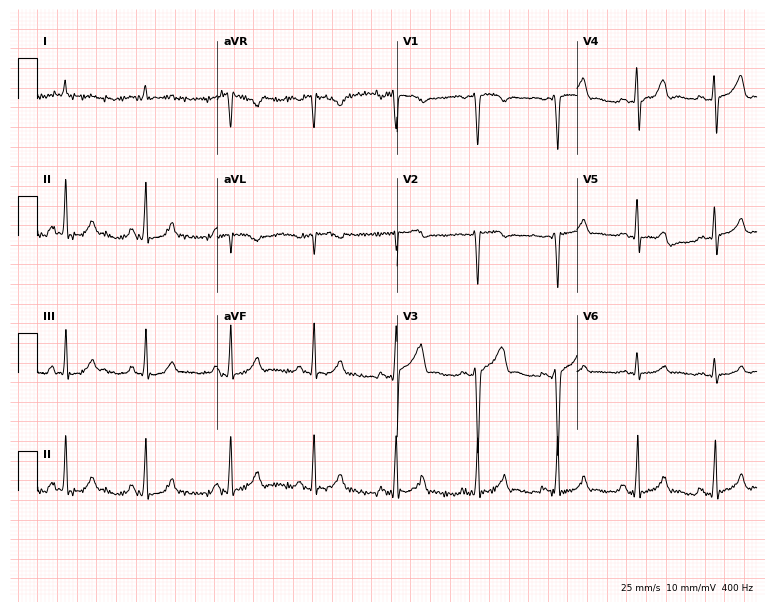
ECG (7.3-second recording at 400 Hz) — a male, 38 years old. Screened for six findings — first-degree AV block, right bundle branch block, left bundle branch block, sinus bradycardia, atrial fibrillation, sinus tachycardia — none is recorded.